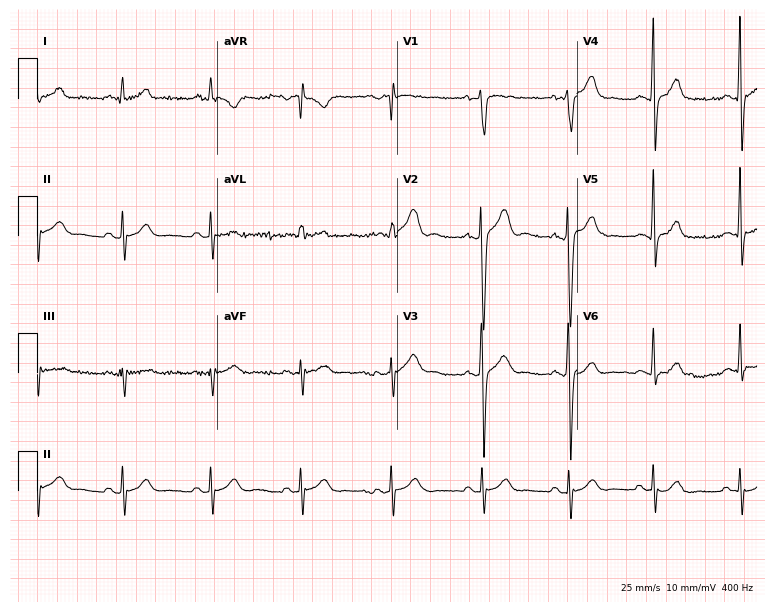
Resting 12-lead electrocardiogram. Patient: a male, 21 years old. Read as a normal ECG.